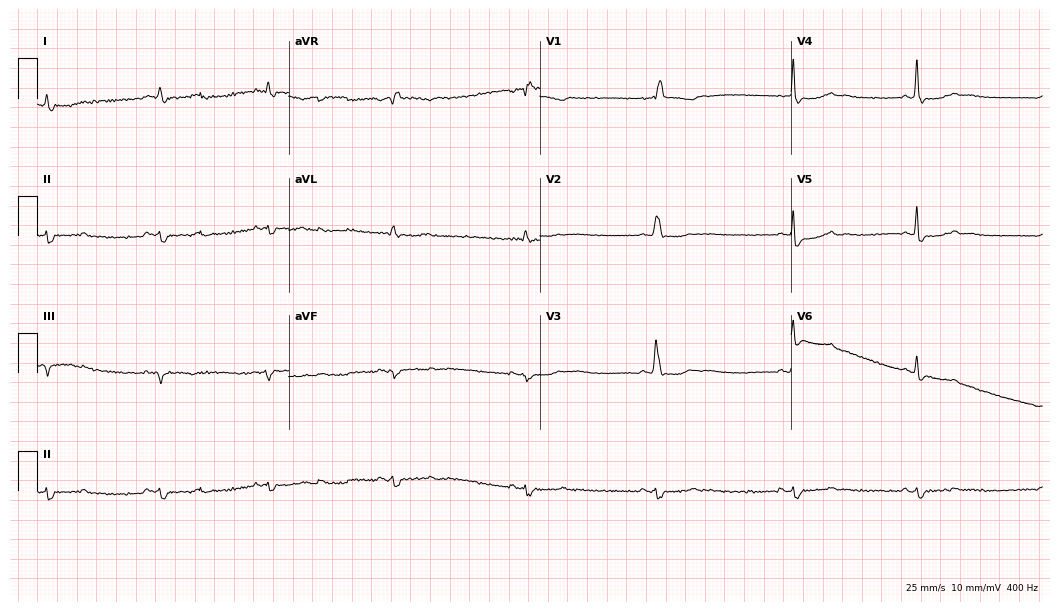
12-lead ECG from a 52-year-old female patient (10.2-second recording at 400 Hz). No first-degree AV block, right bundle branch block, left bundle branch block, sinus bradycardia, atrial fibrillation or sinus tachycardia recorded for this tracing. Other findings, if any, are not listed.